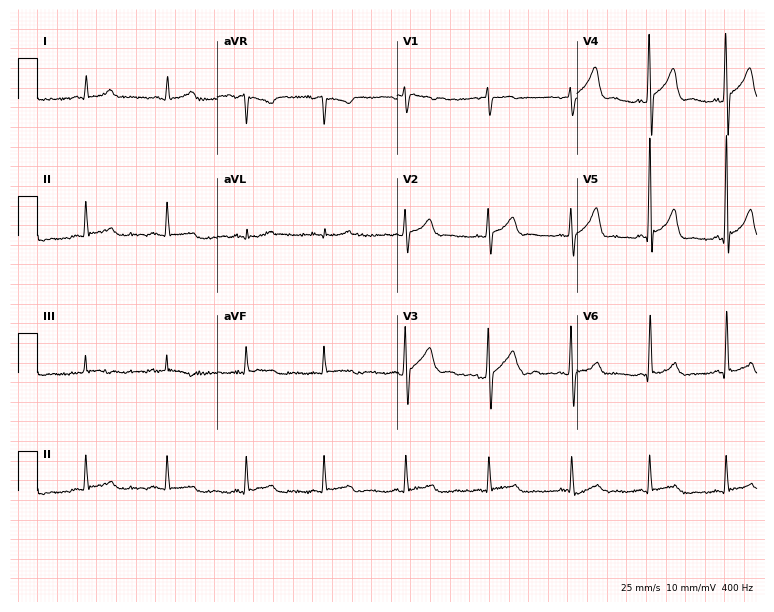
12-lead ECG from a 36-year-old male patient (7.3-second recording at 400 Hz). Recorded interpretation: within normal limits.